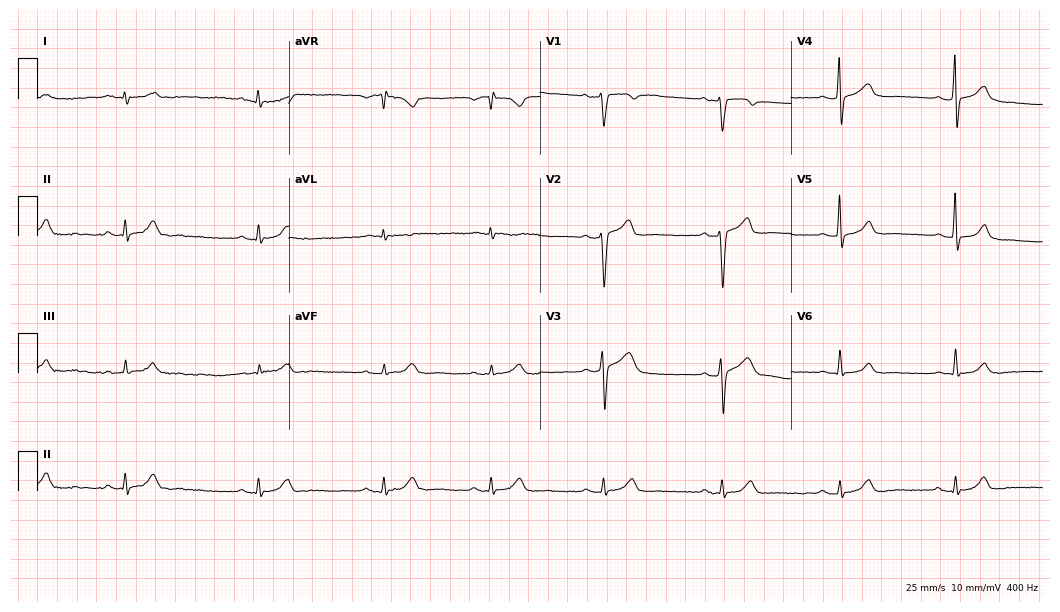
12-lead ECG from a man, 43 years old. Recorded interpretation: within normal limits.